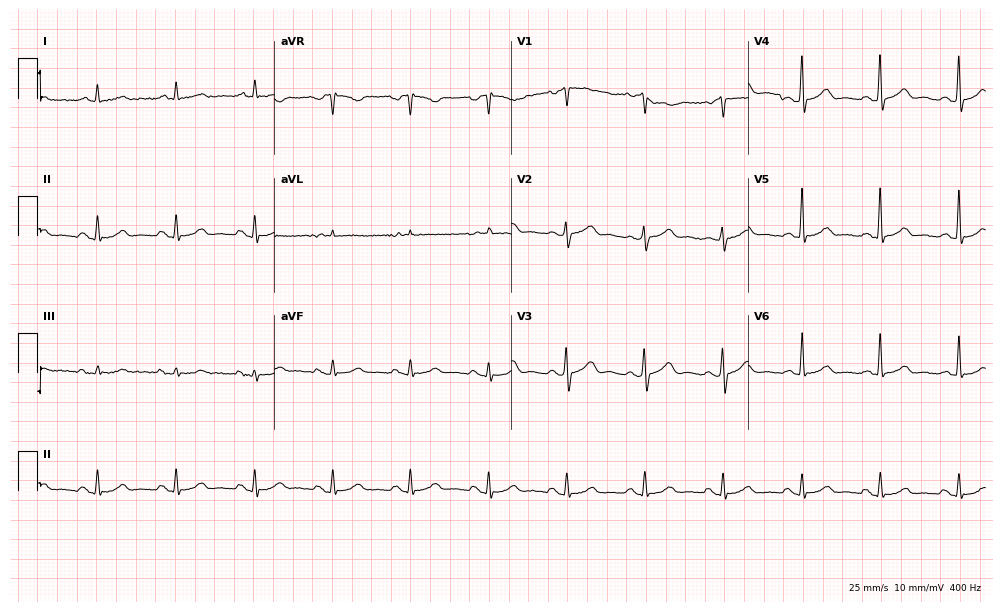
12-lead ECG (9.7-second recording at 400 Hz) from an 85-year-old male. Labelled as a normal ECG.